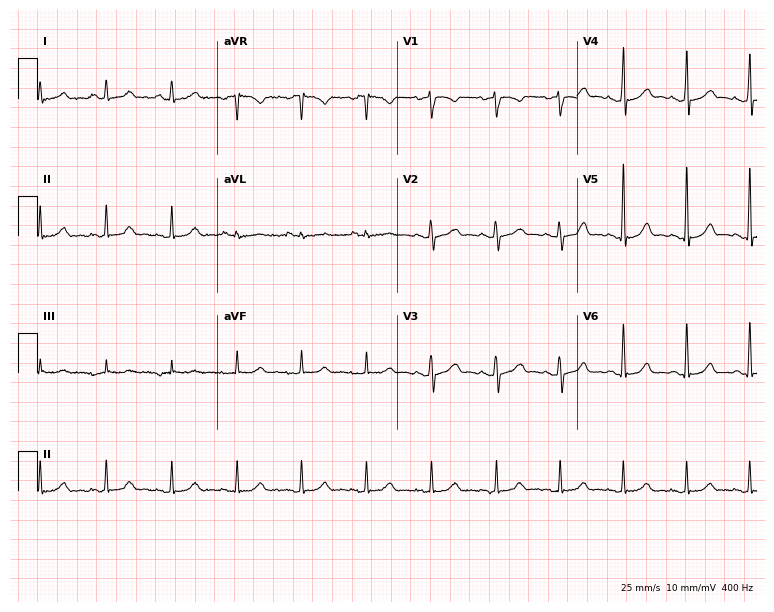
Electrocardiogram, a 43-year-old woman. Overall reading on record: normal ECG.